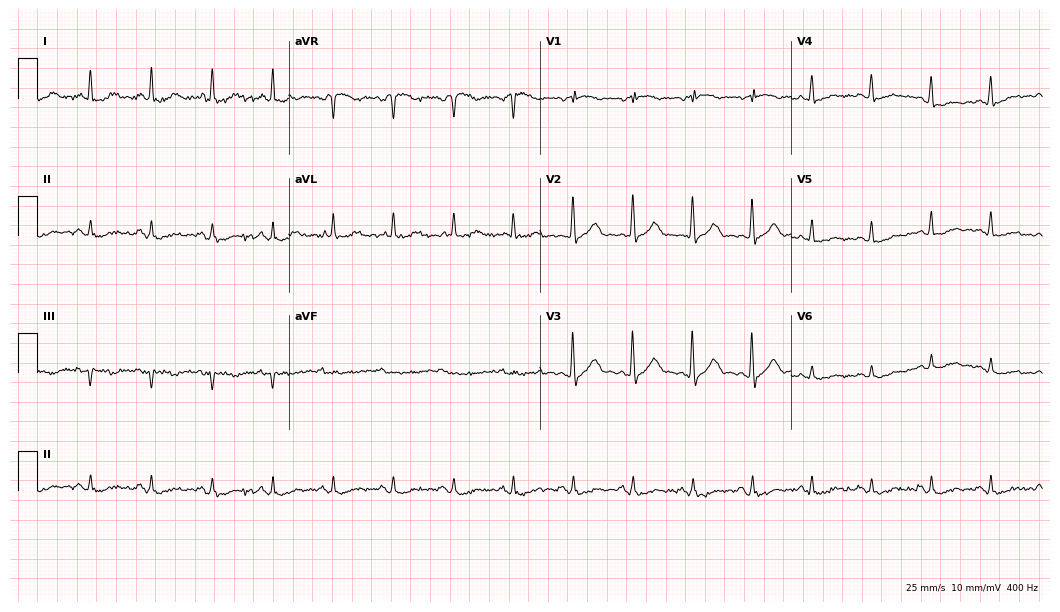
12-lead ECG (10.2-second recording at 400 Hz) from a 78-year-old woman. Screened for six findings — first-degree AV block, right bundle branch block, left bundle branch block, sinus bradycardia, atrial fibrillation, sinus tachycardia — none is recorded.